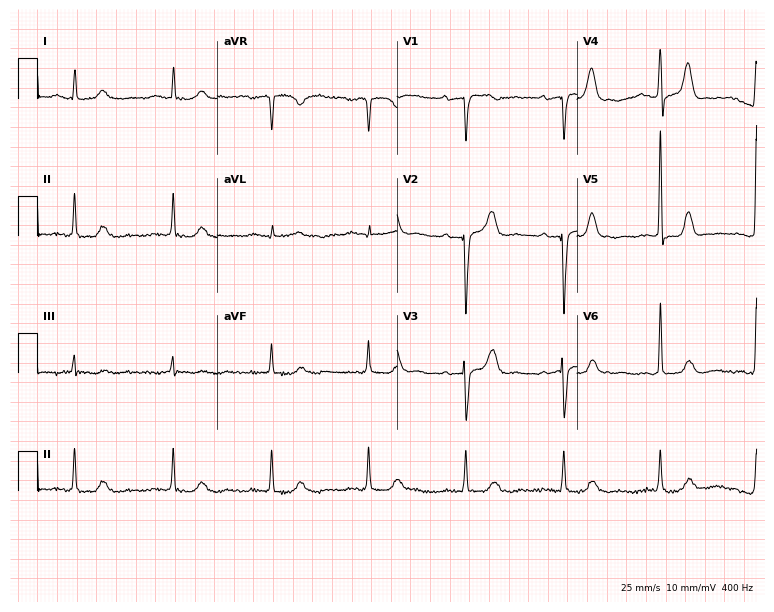
Standard 12-lead ECG recorded from an 80-year-old female. None of these six findings is recorded: first-degree AV block, right bundle branch block, left bundle branch block, sinus bradycardia, atrial fibrillation, sinus tachycardia.